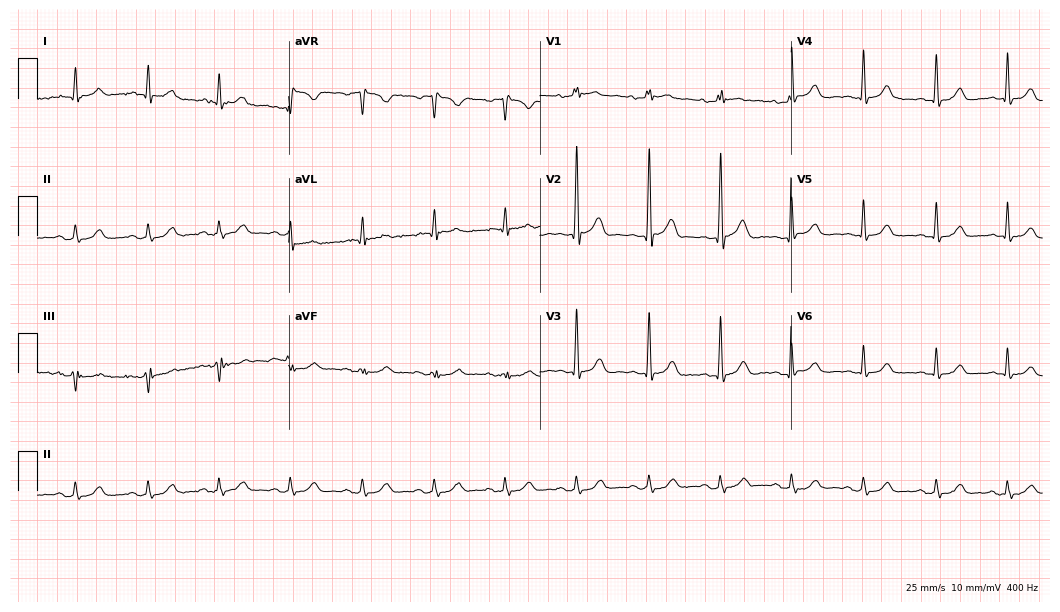
Electrocardiogram (10.2-second recording at 400 Hz), an 80-year-old male patient. Of the six screened findings (first-degree AV block, right bundle branch block, left bundle branch block, sinus bradycardia, atrial fibrillation, sinus tachycardia), none is recorded. Findings outside these six are not listed.